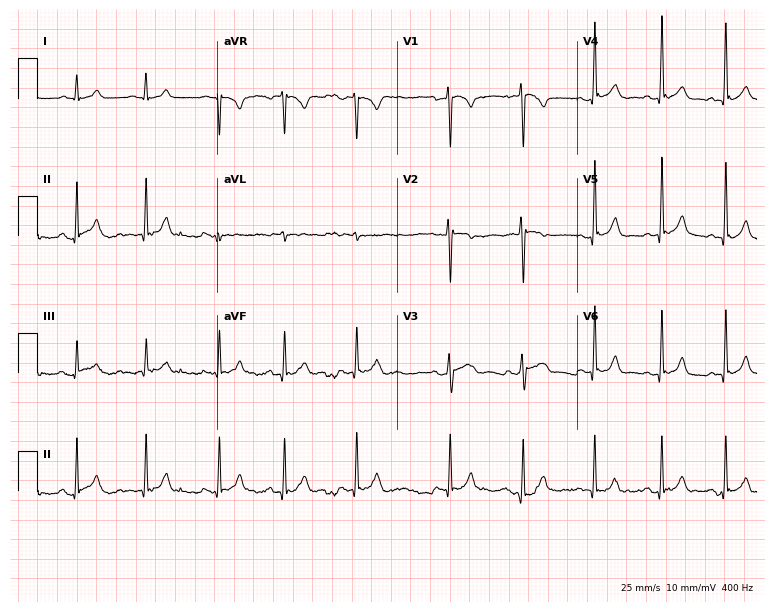
Electrocardiogram, a male patient, 23 years old. Overall reading on record: normal ECG.